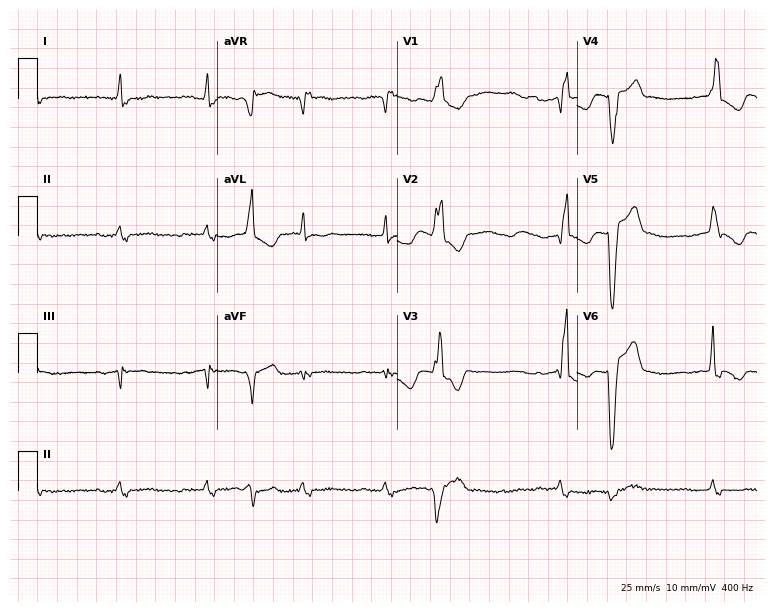
Resting 12-lead electrocardiogram (7.3-second recording at 400 Hz). Patient: a female, 85 years old. The tracing shows right bundle branch block.